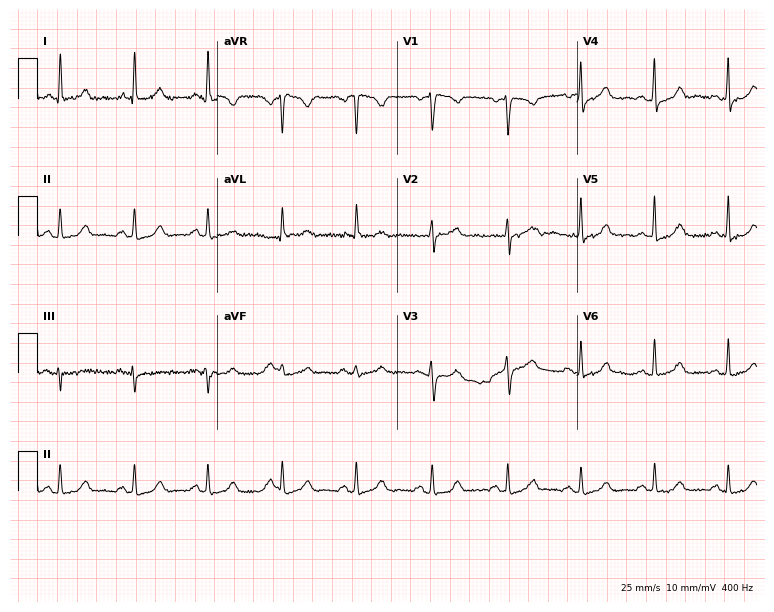
Resting 12-lead electrocardiogram. Patient: a 59-year-old female. Read as a normal ECG.